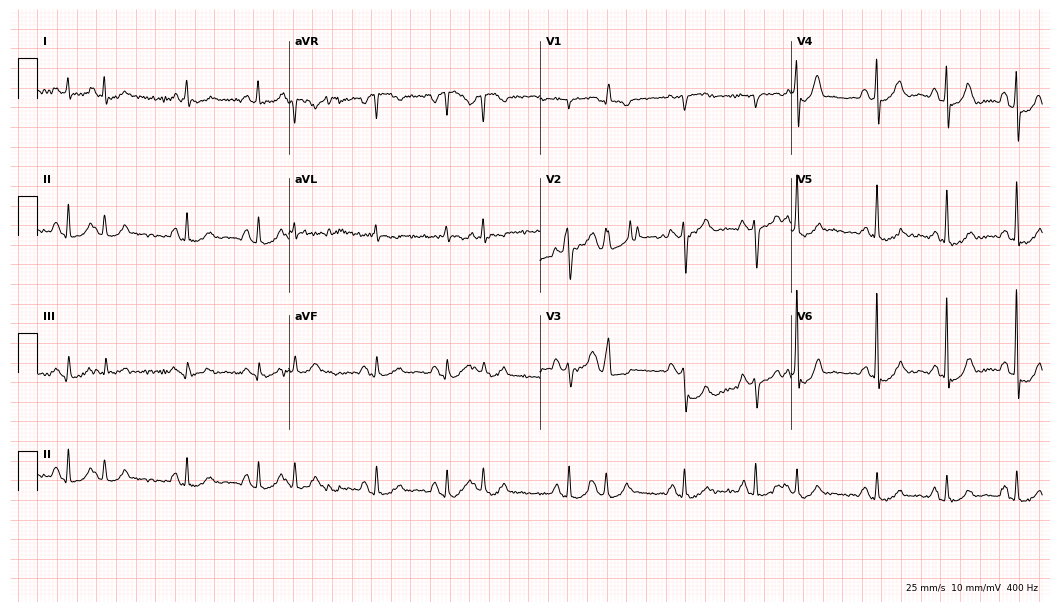
Resting 12-lead electrocardiogram (10.2-second recording at 400 Hz). Patient: an 80-year-old man. None of these six findings is recorded: first-degree AV block, right bundle branch block (RBBB), left bundle branch block (LBBB), sinus bradycardia, atrial fibrillation (AF), sinus tachycardia. Other findings, if any, are not listed.